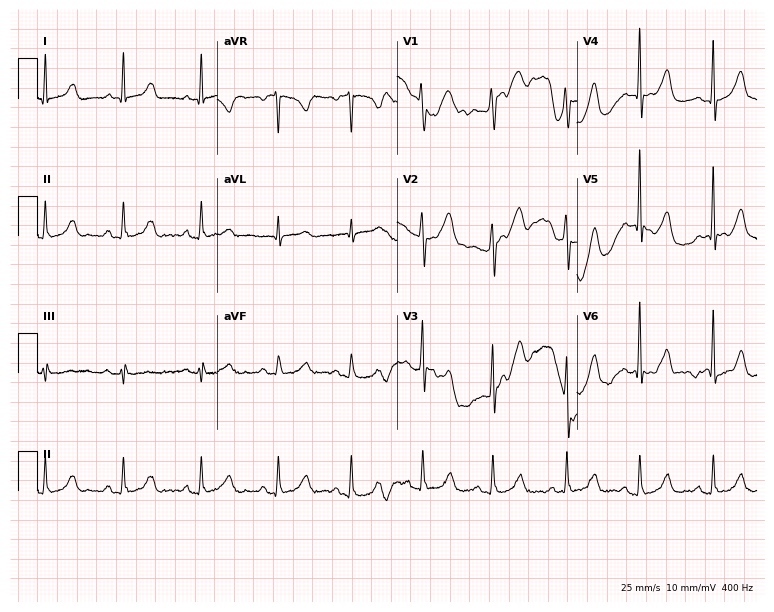
ECG — a 60-year-old woman. Labelled as a normal ECG.